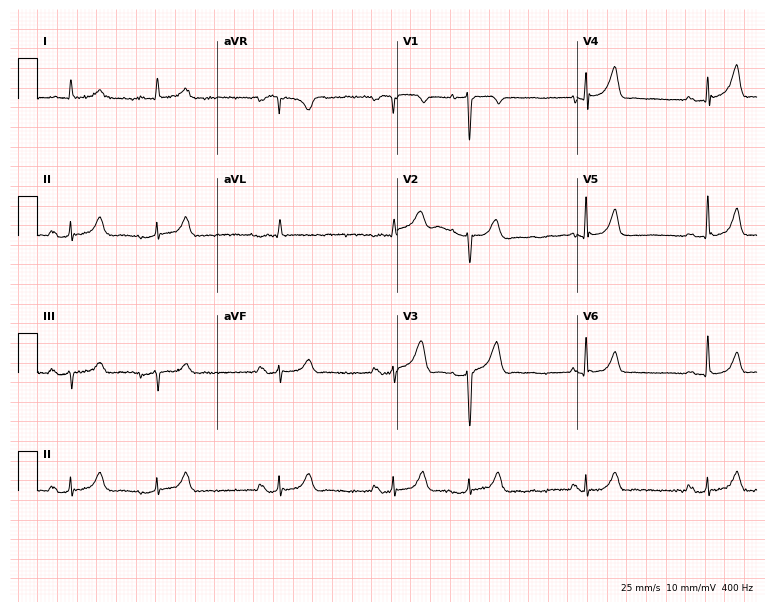
Standard 12-lead ECG recorded from a male patient, 67 years old. Read as a normal ECG.